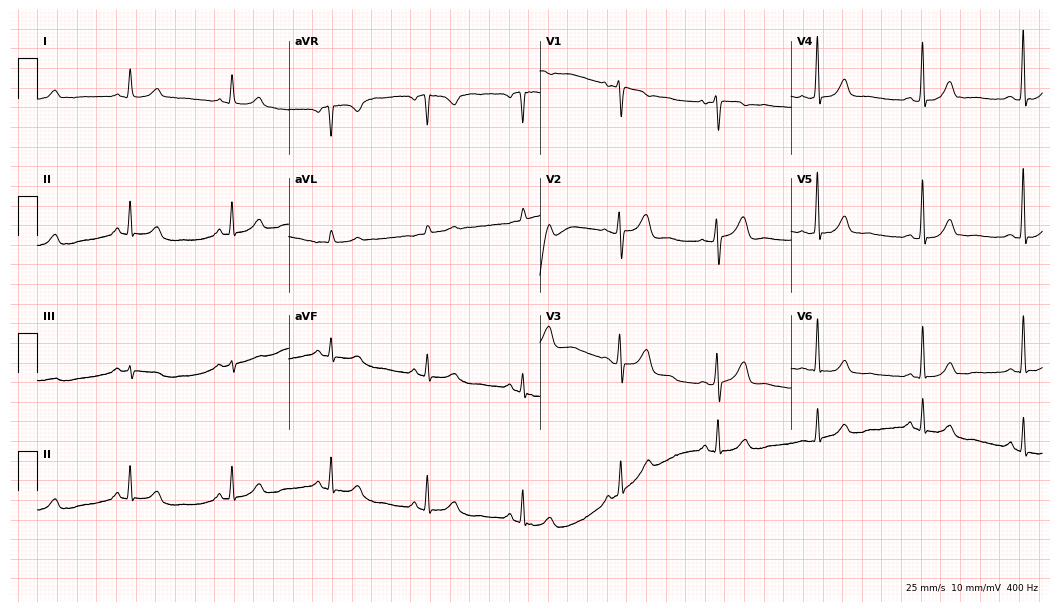
Standard 12-lead ECG recorded from a female, 60 years old. None of these six findings is recorded: first-degree AV block, right bundle branch block, left bundle branch block, sinus bradycardia, atrial fibrillation, sinus tachycardia. Only these six findings were labelled.